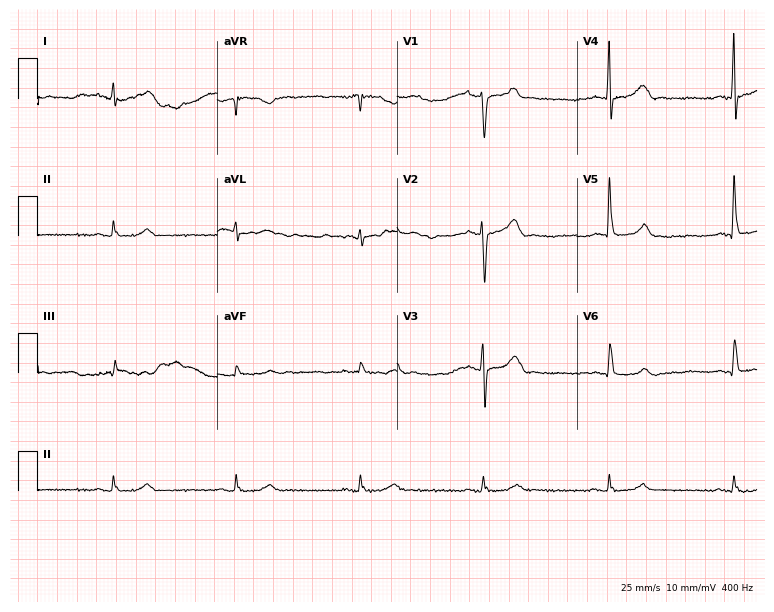
Standard 12-lead ECG recorded from a male patient, 75 years old (7.3-second recording at 400 Hz). None of these six findings is recorded: first-degree AV block, right bundle branch block, left bundle branch block, sinus bradycardia, atrial fibrillation, sinus tachycardia.